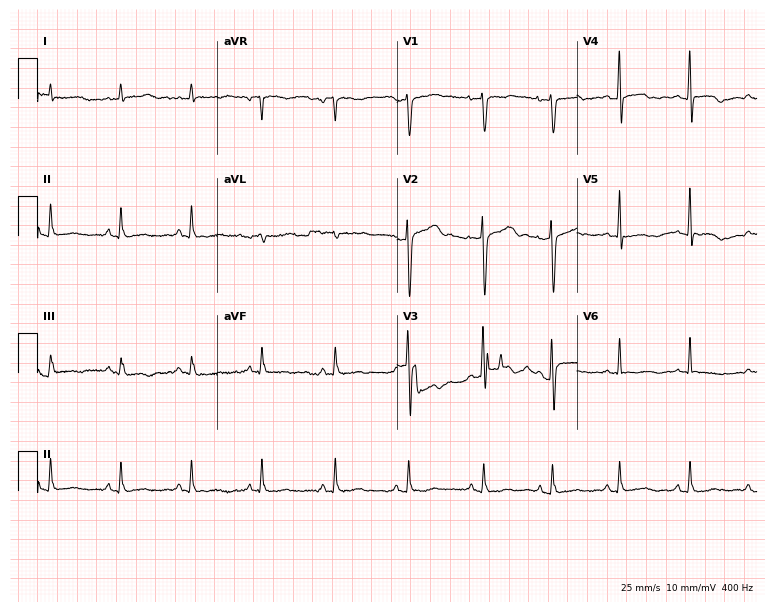
12-lead ECG from a 30-year-old female patient. Screened for six findings — first-degree AV block, right bundle branch block, left bundle branch block, sinus bradycardia, atrial fibrillation, sinus tachycardia — none is recorded. Only these six findings were labelled.